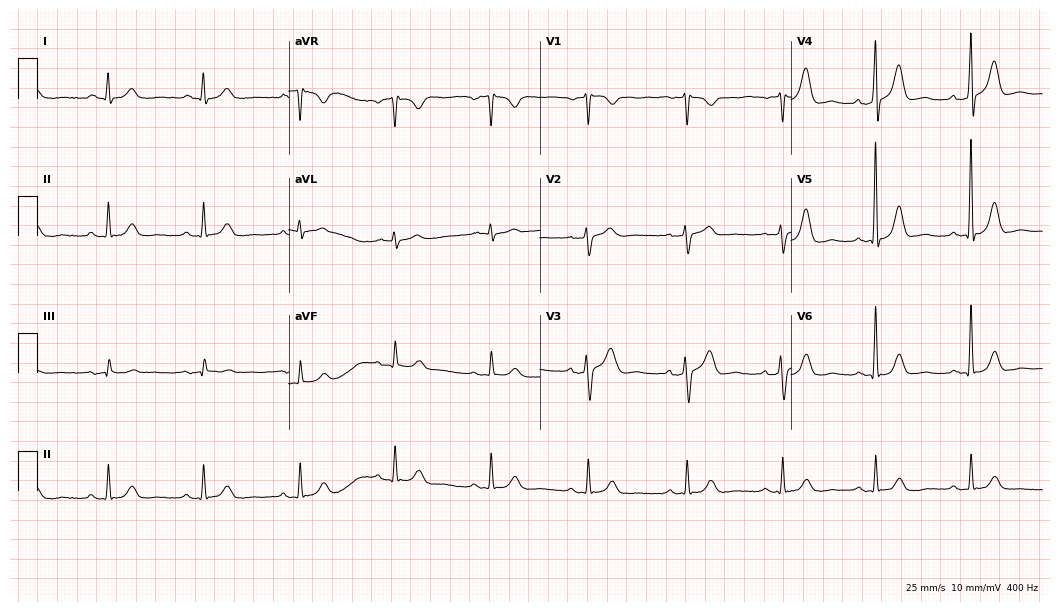
Standard 12-lead ECG recorded from a 65-year-old man. Read as a normal ECG.